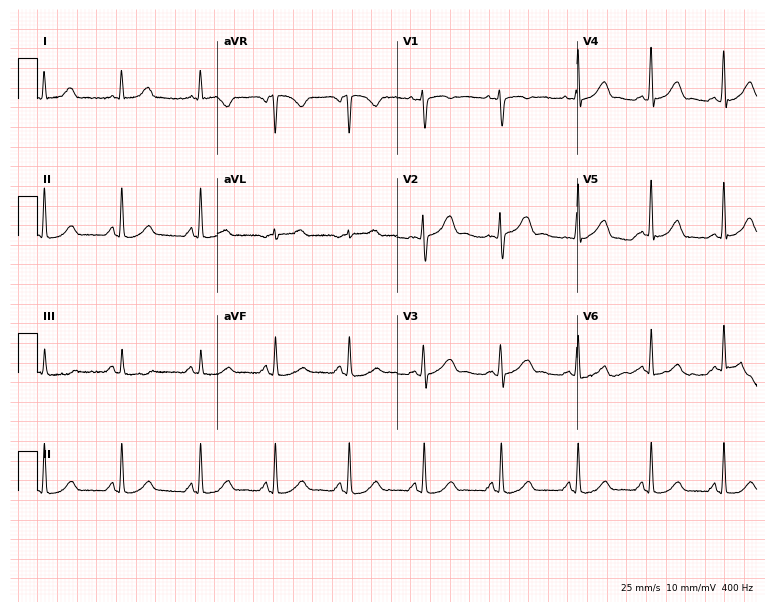
Resting 12-lead electrocardiogram (7.3-second recording at 400 Hz). Patient: a 27-year-old female. Read as a normal ECG.